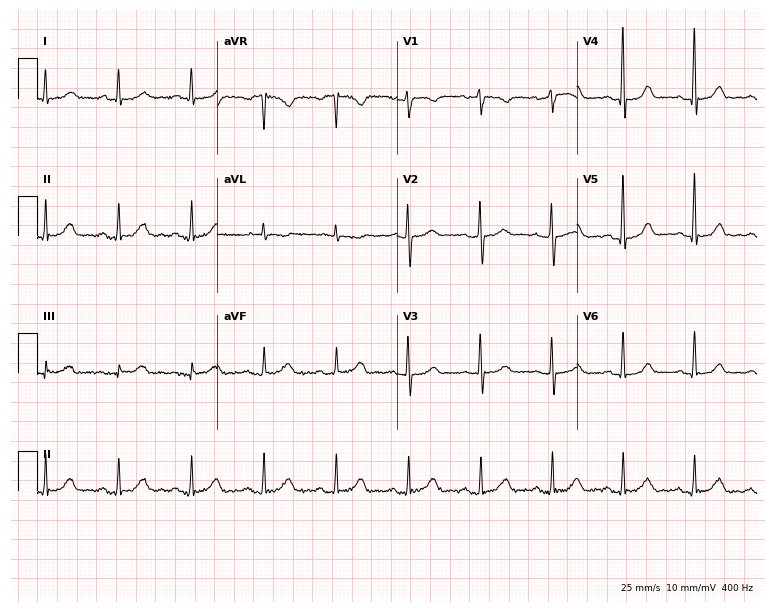
Electrocardiogram (7.3-second recording at 400 Hz), a 66-year-old woman. Overall reading on record: normal ECG.